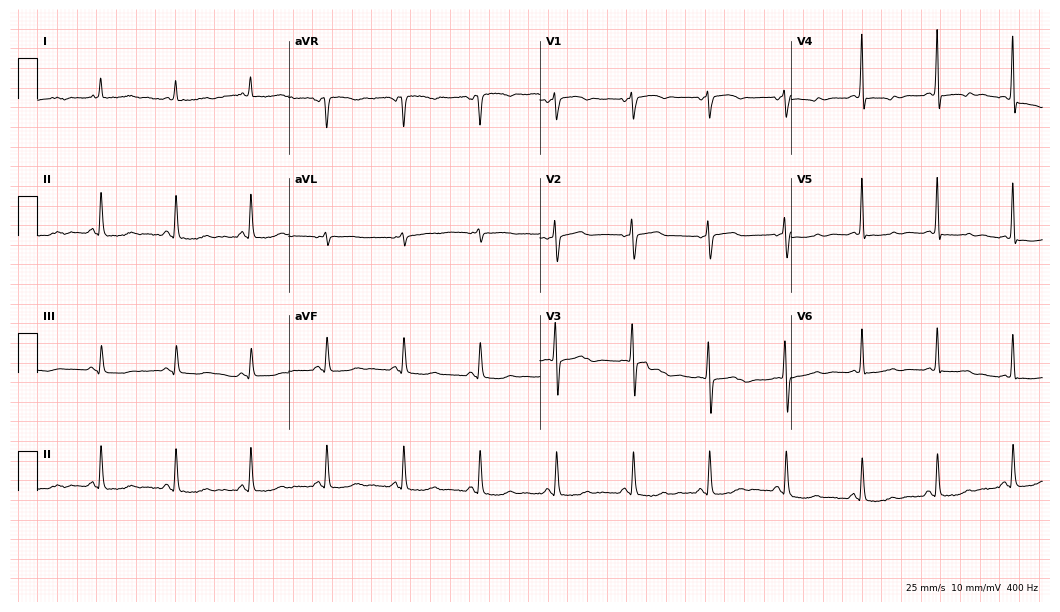
Resting 12-lead electrocardiogram. Patient: a 55-year-old female. None of these six findings is recorded: first-degree AV block, right bundle branch block, left bundle branch block, sinus bradycardia, atrial fibrillation, sinus tachycardia. Findings outside these six are not listed.